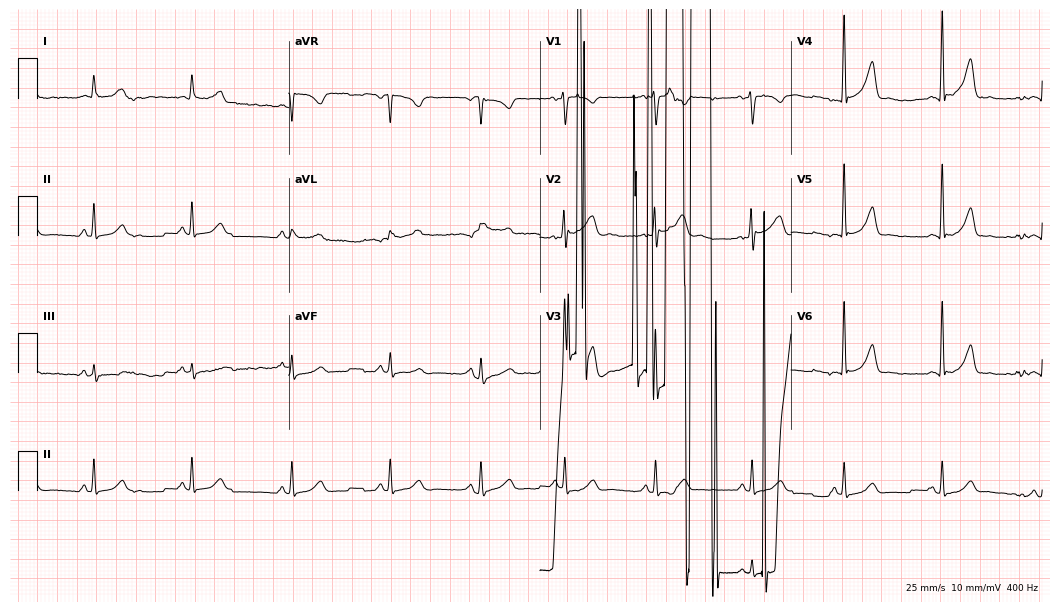
ECG — a 30-year-old female. Screened for six findings — first-degree AV block, right bundle branch block, left bundle branch block, sinus bradycardia, atrial fibrillation, sinus tachycardia — none is recorded.